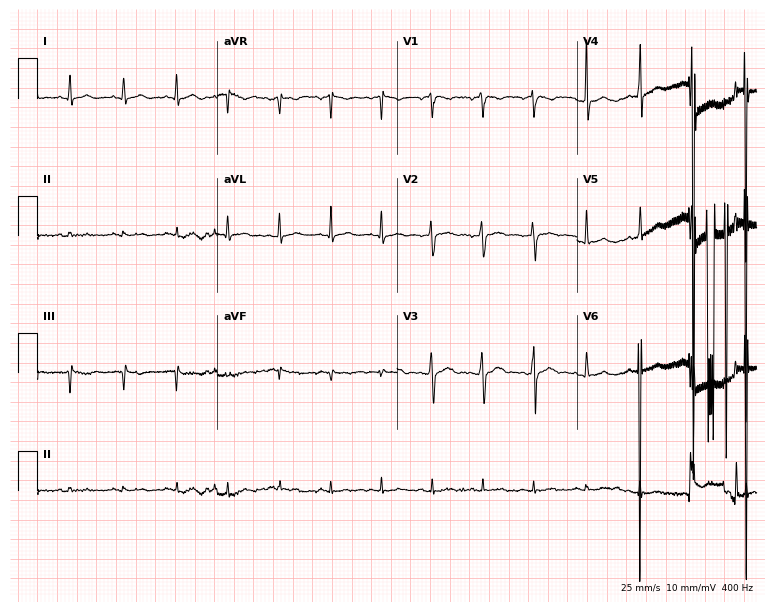
Electrocardiogram (7.3-second recording at 400 Hz), a 17-year-old male. Interpretation includes sinus tachycardia (a sinus rate of 100 beats per minute or more).